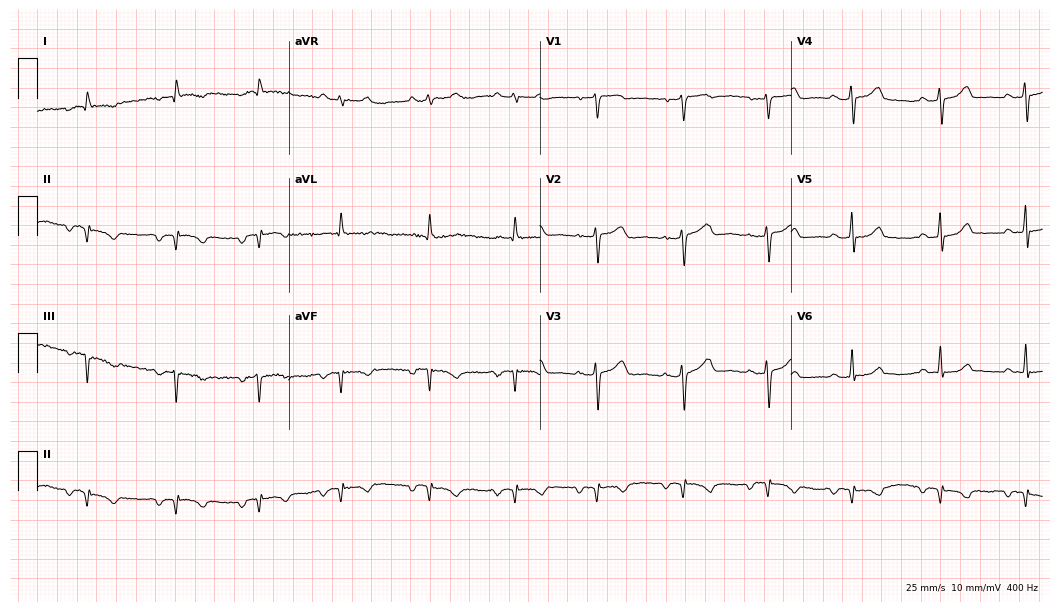
Standard 12-lead ECG recorded from a 47-year-old female patient. None of these six findings is recorded: first-degree AV block, right bundle branch block, left bundle branch block, sinus bradycardia, atrial fibrillation, sinus tachycardia.